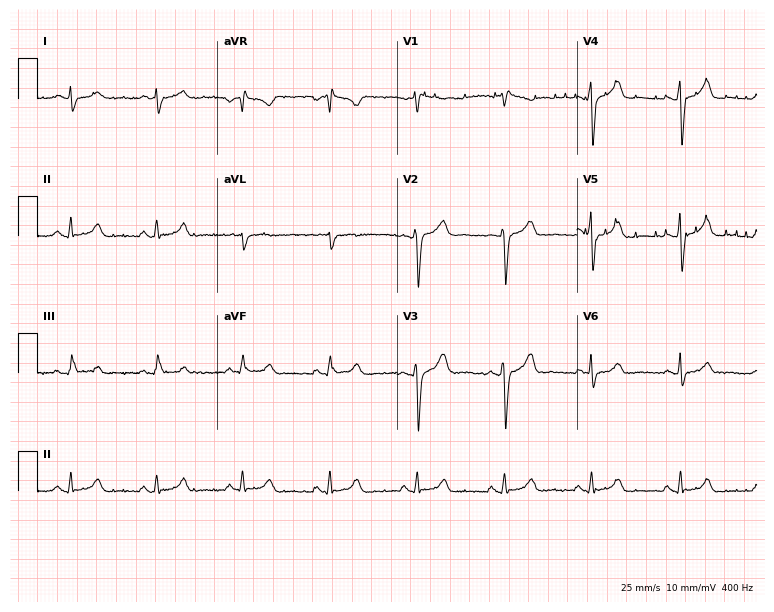
12-lead ECG from a 73-year-old man. Screened for six findings — first-degree AV block, right bundle branch block, left bundle branch block, sinus bradycardia, atrial fibrillation, sinus tachycardia — none is recorded.